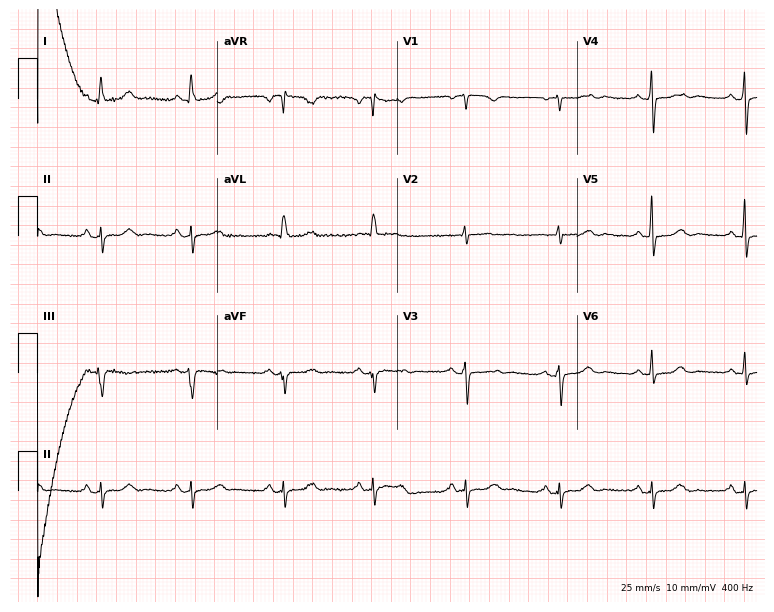
ECG — a female patient, 75 years old. Screened for six findings — first-degree AV block, right bundle branch block, left bundle branch block, sinus bradycardia, atrial fibrillation, sinus tachycardia — none is recorded.